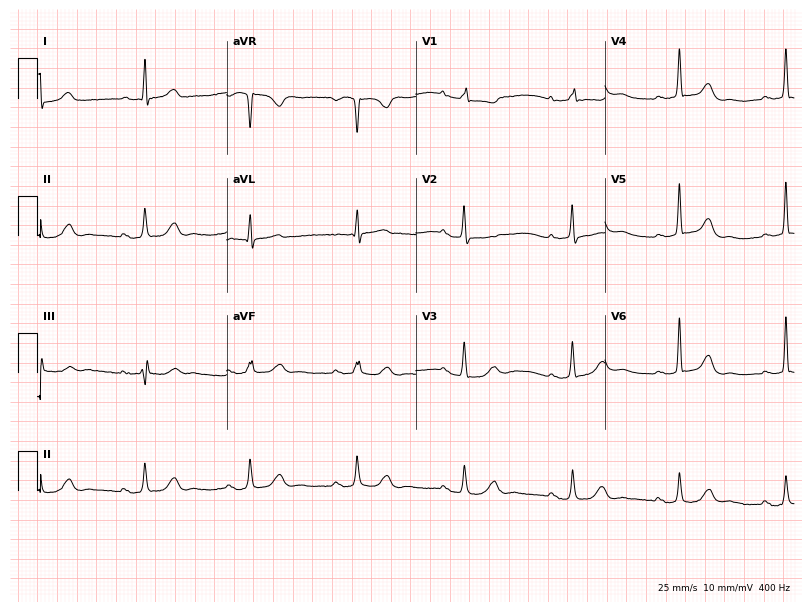
Resting 12-lead electrocardiogram (7.7-second recording at 400 Hz). Patient: an 82-year-old female. None of these six findings is recorded: first-degree AV block, right bundle branch block, left bundle branch block, sinus bradycardia, atrial fibrillation, sinus tachycardia. Only these six findings were labelled.